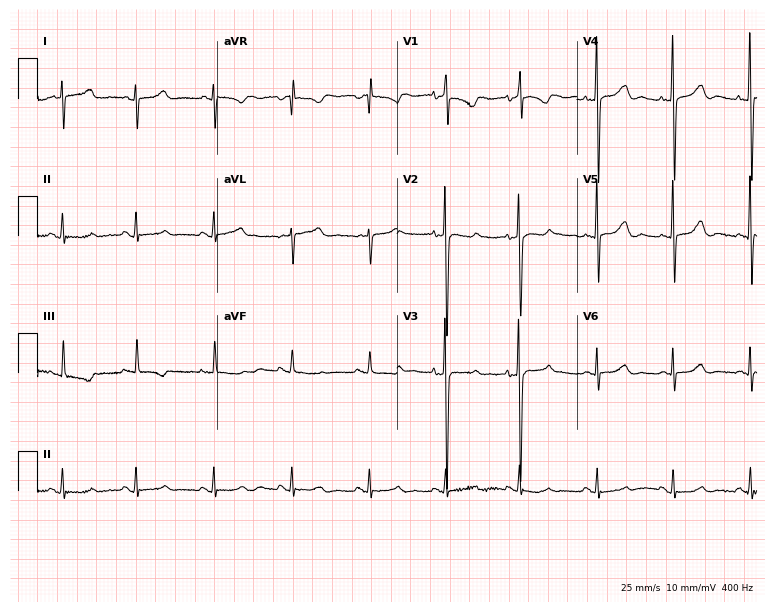
Electrocardiogram, an 85-year-old female patient. Overall reading on record: normal ECG.